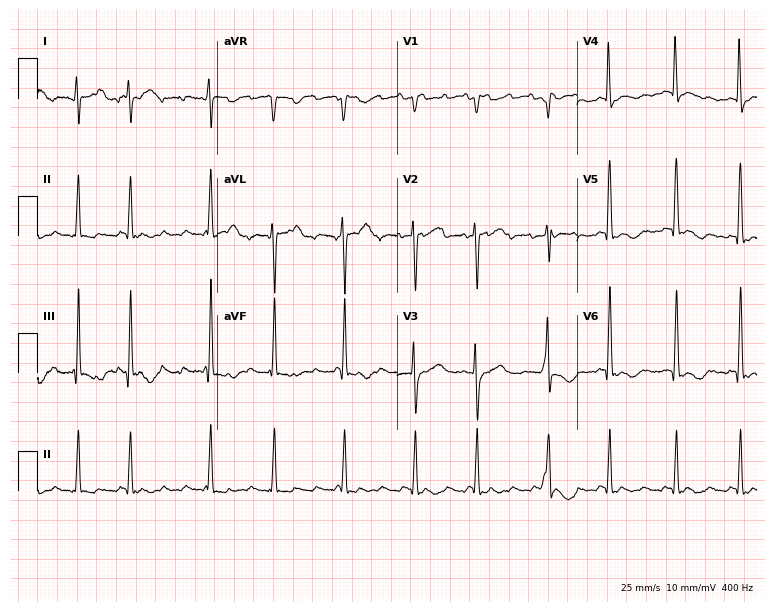
Resting 12-lead electrocardiogram (7.3-second recording at 400 Hz). Patient: a 64-year-old woman. None of these six findings is recorded: first-degree AV block, right bundle branch block, left bundle branch block, sinus bradycardia, atrial fibrillation, sinus tachycardia. Other findings, if any, are not listed.